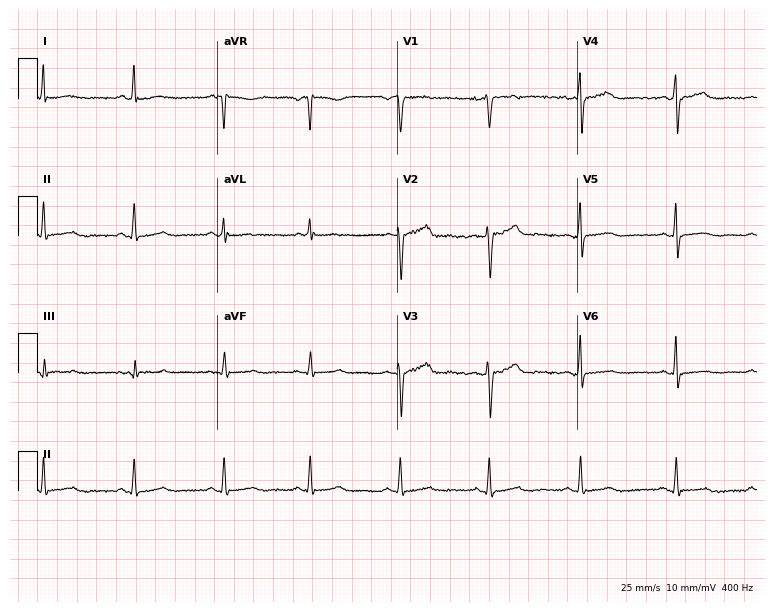
12-lead ECG from a 37-year-old female. Screened for six findings — first-degree AV block, right bundle branch block, left bundle branch block, sinus bradycardia, atrial fibrillation, sinus tachycardia — none is recorded.